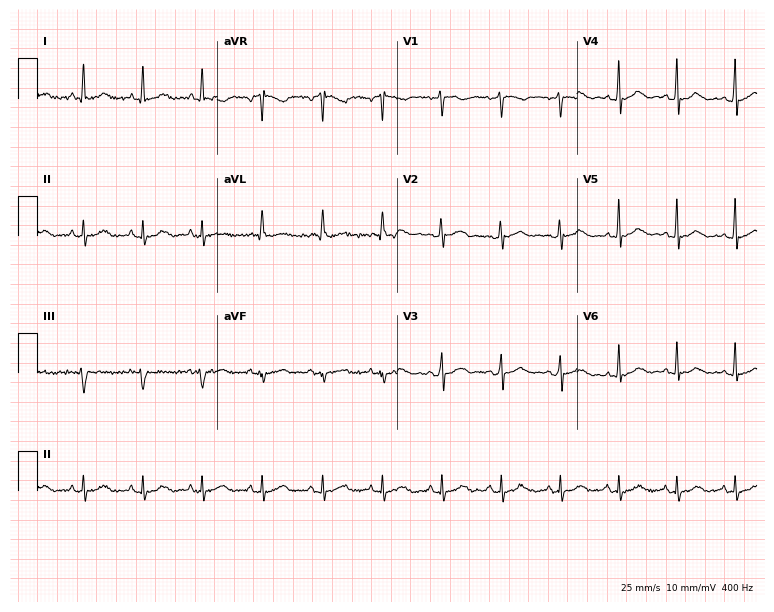
ECG (7.3-second recording at 400 Hz) — a female patient, 47 years old. Labelled as a normal ECG.